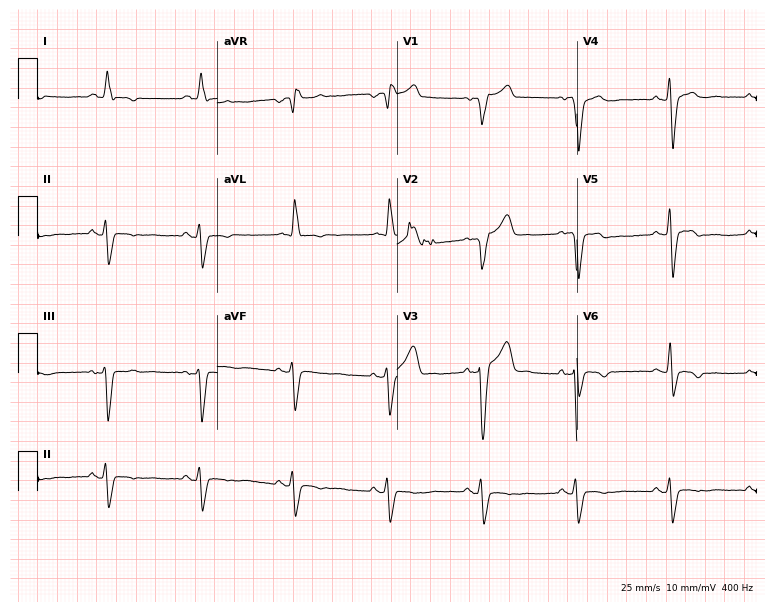
ECG (7.3-second recording at 400 Hz) — a man, 54 years old. Screened for six findings — first-degree AV block, right bundle branch block (RBBB), left bundle branch block (LBBB), sinus bradycardia, atrial fibrillation (AF), sinus tachycardia — none is recorded.